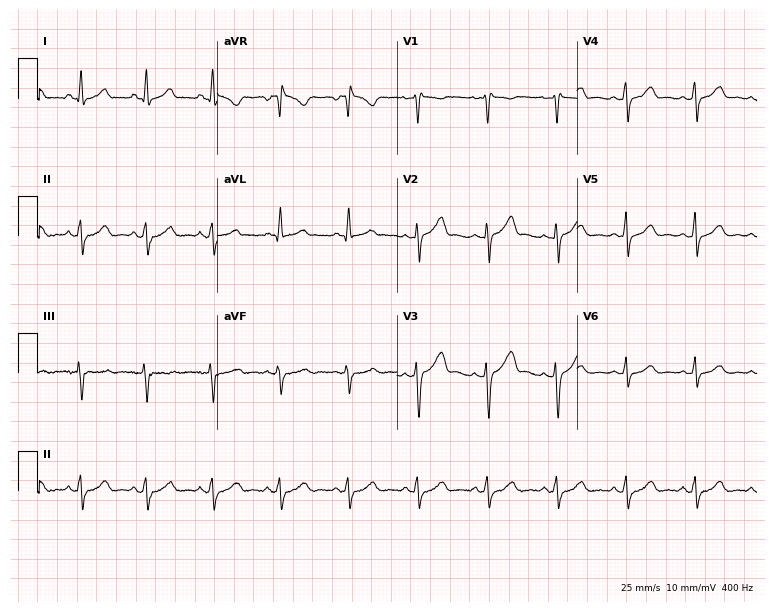
12-lead ECG (7.3-second recording at 400 Hz) from a 33-year-old female patient. Labelled as a normal ECG.